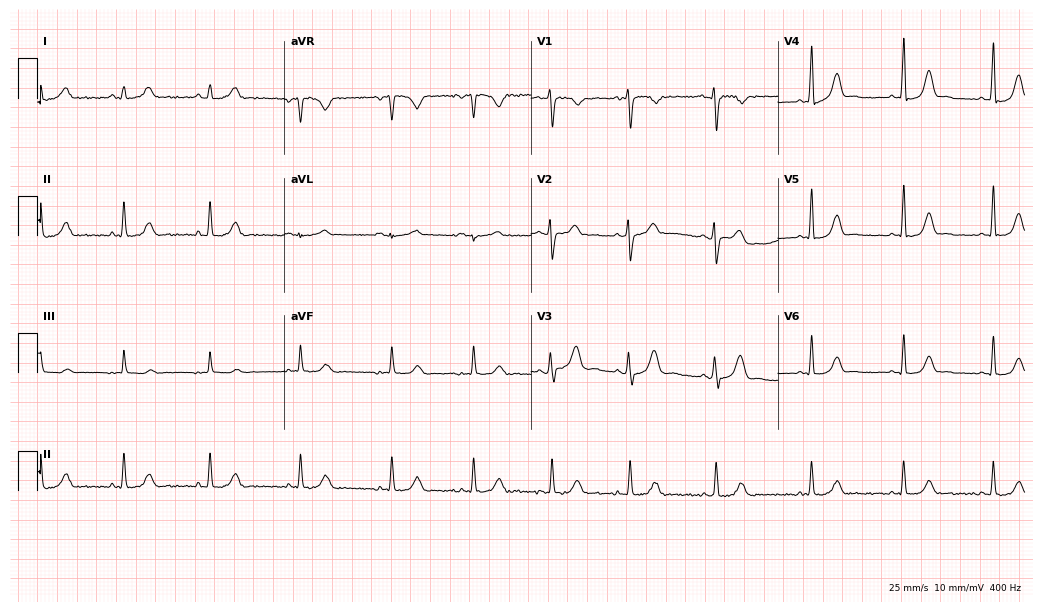
12-lead ECG (10.1-second recording at 400 Hz) from a 42-year-old female. Labelled as a normal ECG.